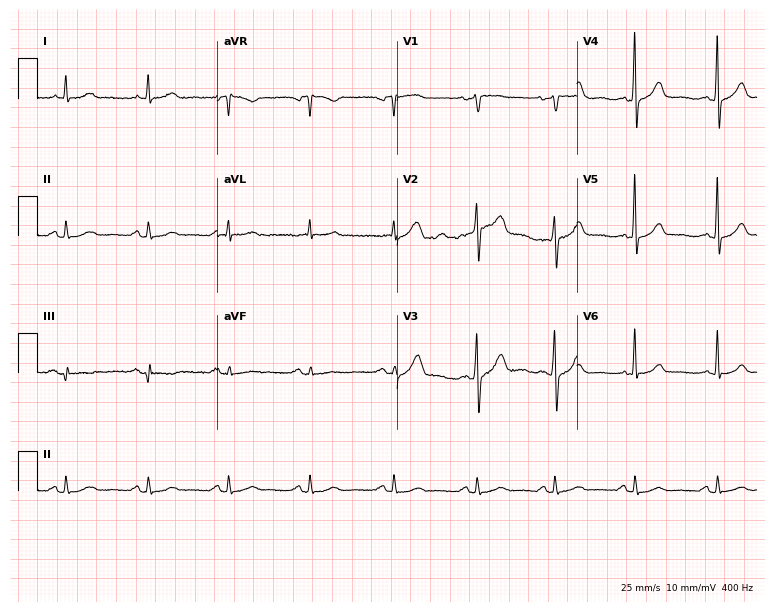
12-lead ECG from a 52-year-old man. Labelled as a normal ECG.